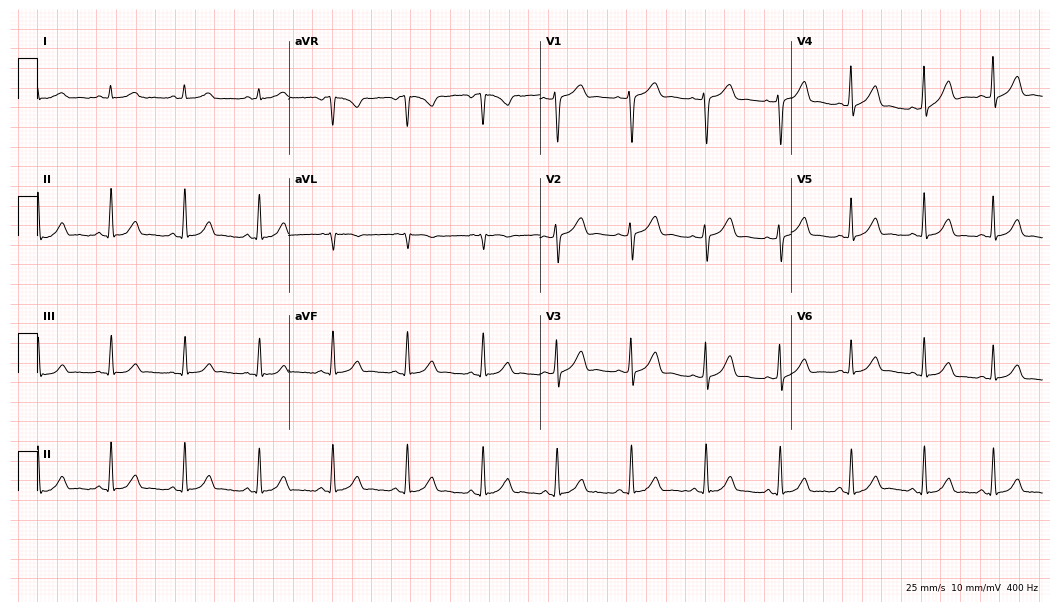
Electrocardiogram, a woman, 44 years old. Overall reading on record: normal ECG.